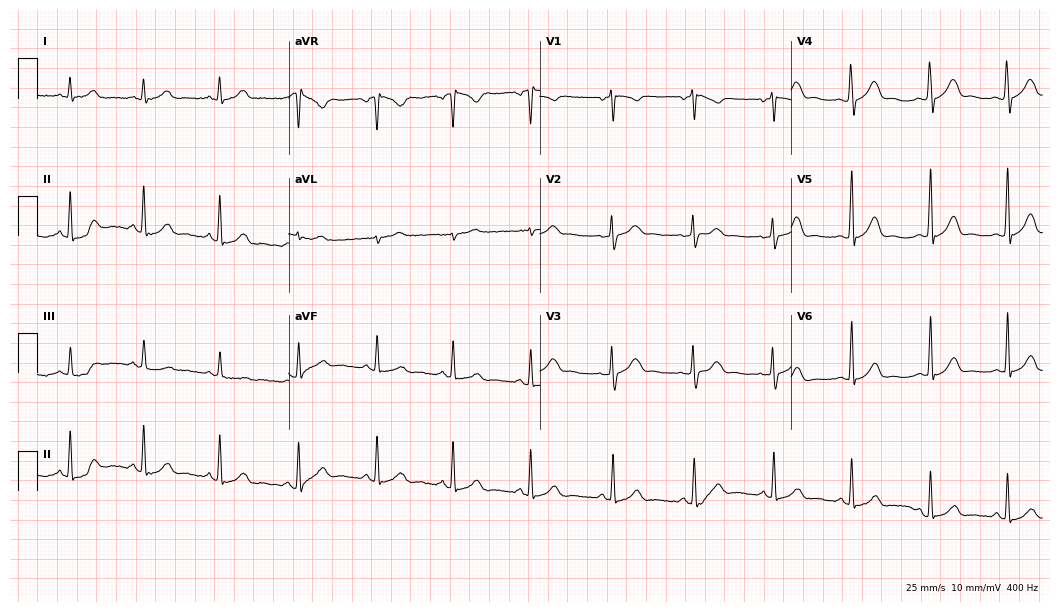
Resting 12-lead electrocardiogram. Patient: a female, 25 years old. Read as a normal ECG.